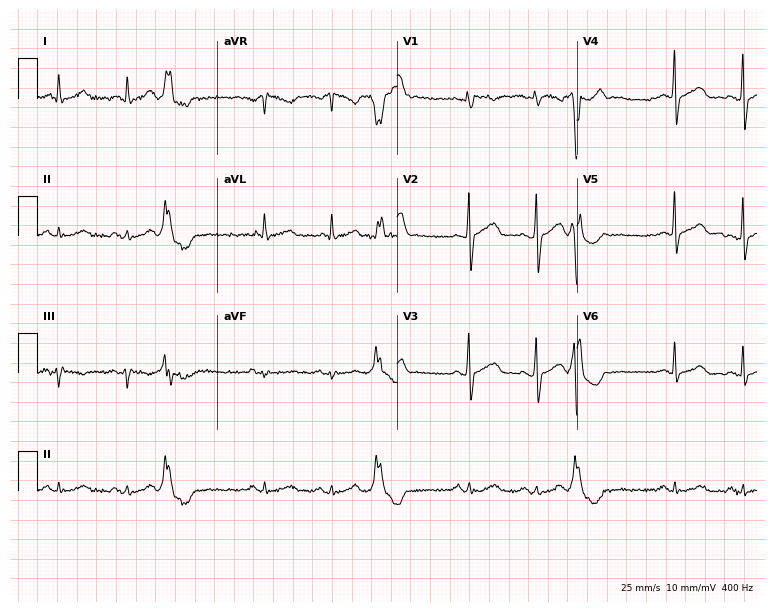
12-lead ECG from a 62-year-old man. Labelled as a normal ECG.